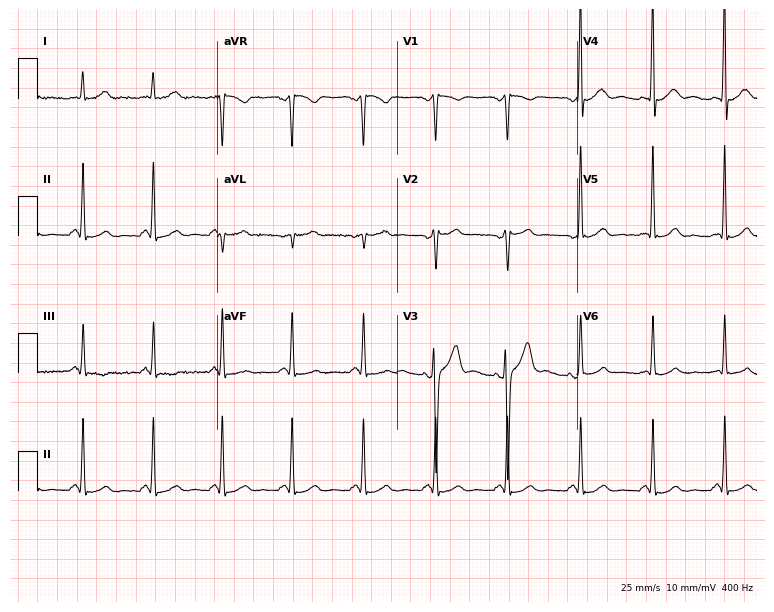
12-lead ECG from a 35-year-old man. Labelled as a normal ECG.